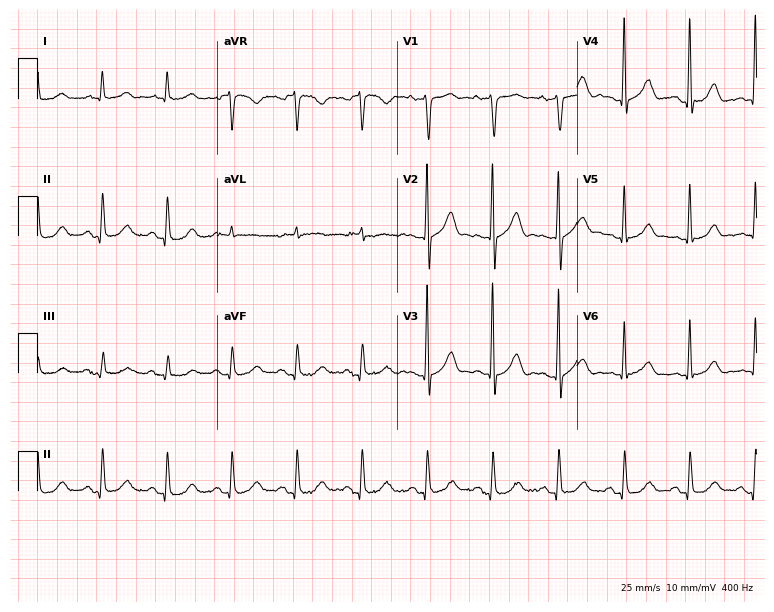
Resting 12-lead electrocardiogram. Patient: a male, 82 years old. None of these six findings is recorded: first-degree AV block, right bundle branch block, left bundle branch block, sinus bradycardia, atrial fibrillation, sinus tachycardia. Other findings, if any, are not listed.